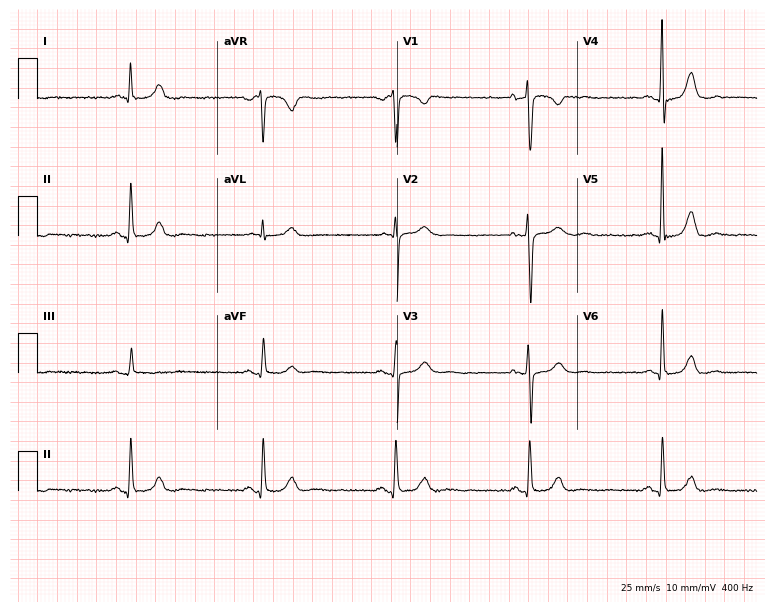
ECG — a 71-year-old female. Findings include sinus bradycardia (a sinus rate of 50 beats per minute or less).